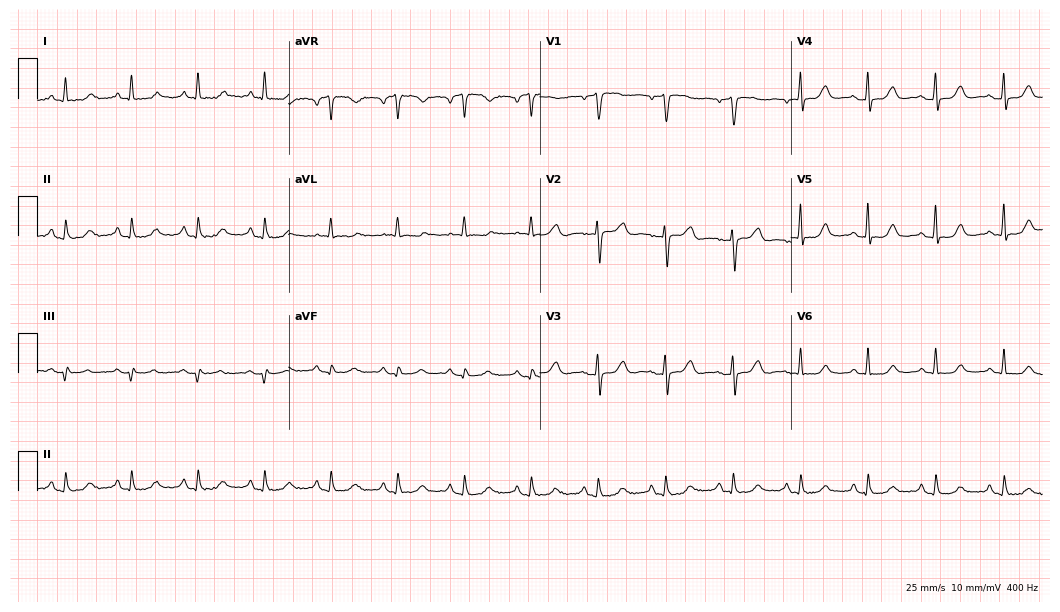
Electrocardiogram (10.2-second recording at 400 Hz), a female, 58 years old. Overall reading on record: normal ECG.